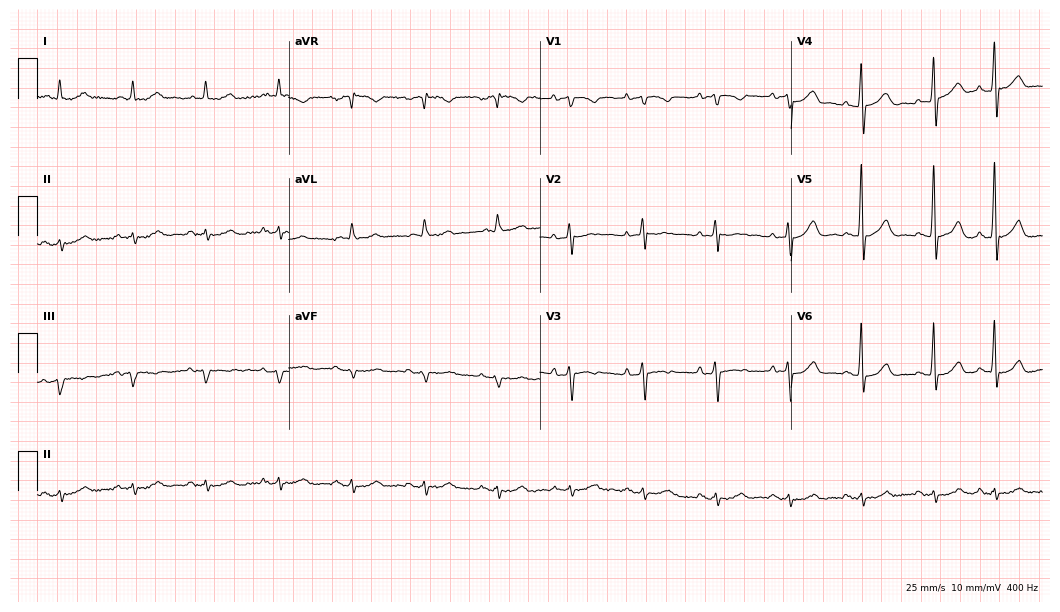
Electrocardiogram (10.2-second recording at 400 Hz), a woman, 83 years old. Overall reading on record: normal ECG.